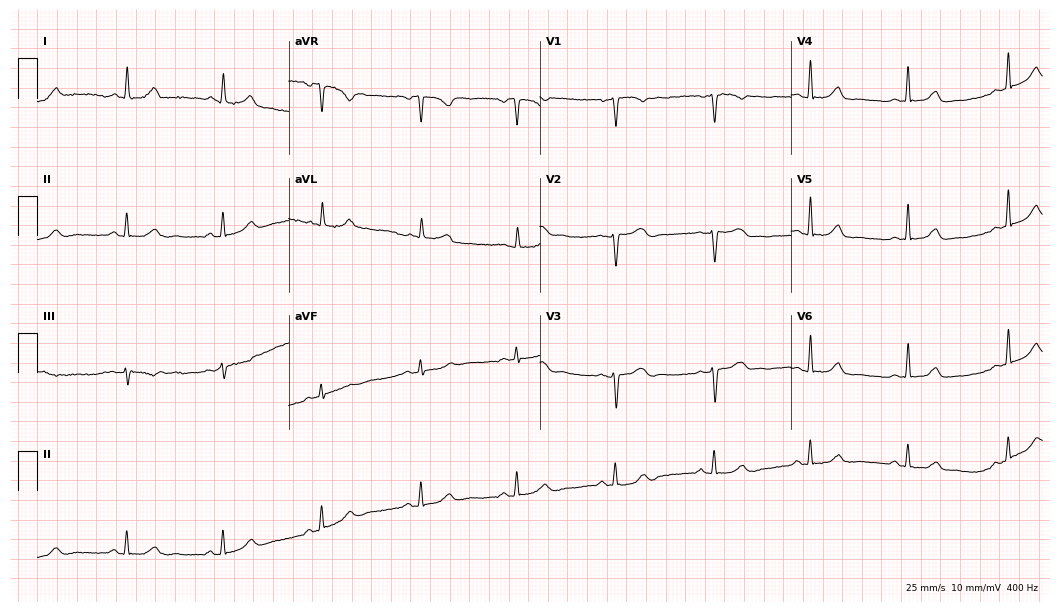
12-lead ECG from a female patient, 55 years old (10.2-second recording at 400 Hz). Recorded interpretation: within normal limits.